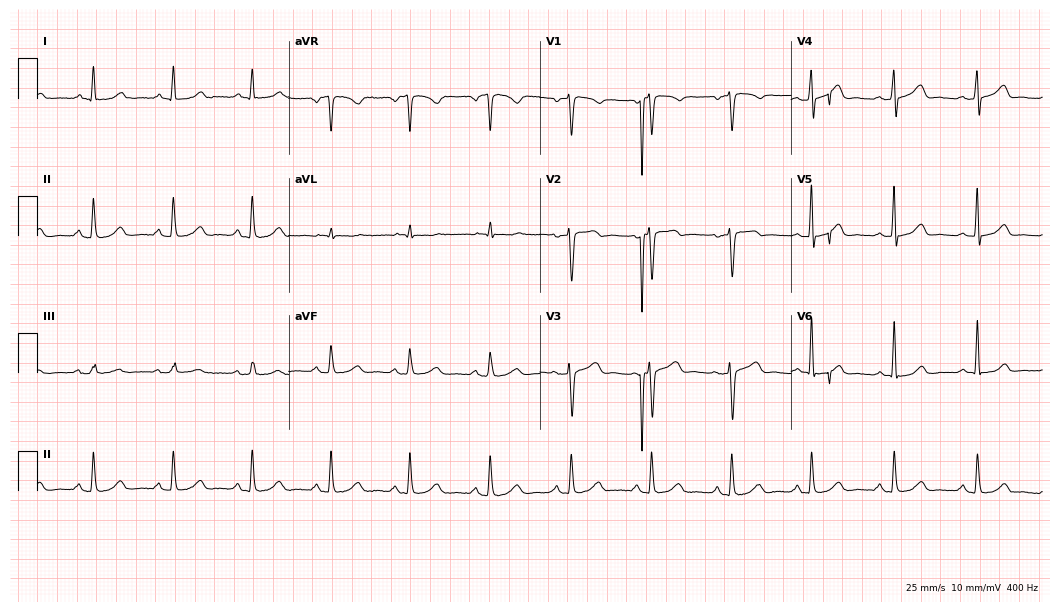
Standard 12-lead ECG recorded from a 54-year-old female (10.2-second recording at 400 Hz). Read as a normal ECG.